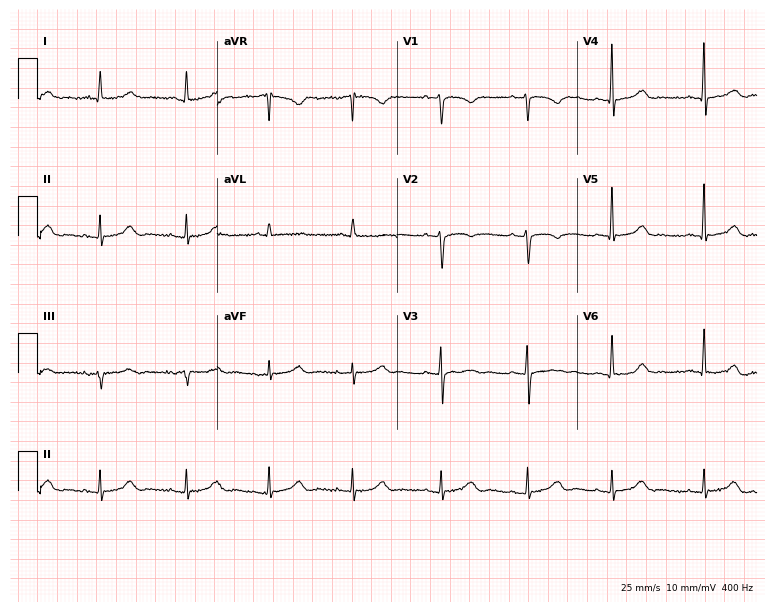
ECG — a 68-year-old woman. Labelled as a normal ECG.